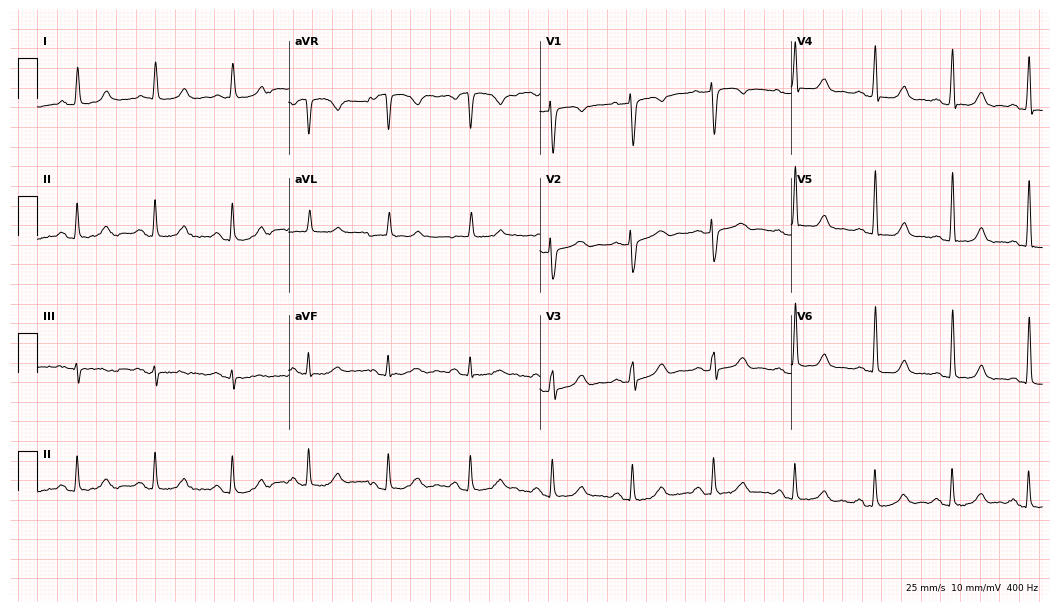
12-lead ECG from a 70-year-old female patient. Recorded interpretation: within normal limits.